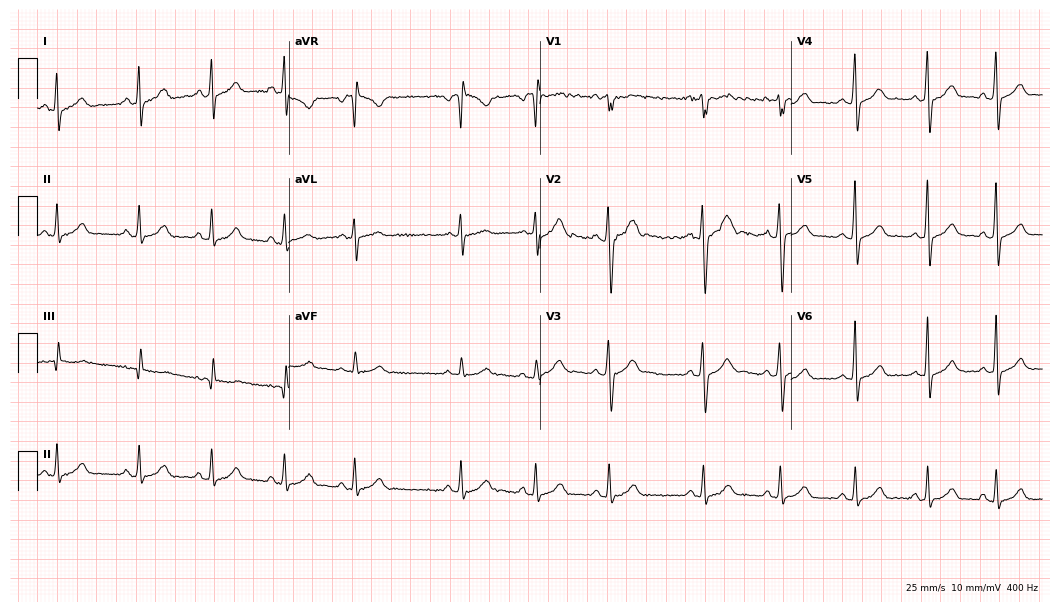
12-lead ECG from a male patient, 26 years old. Recorded interpretation: within normal limits.